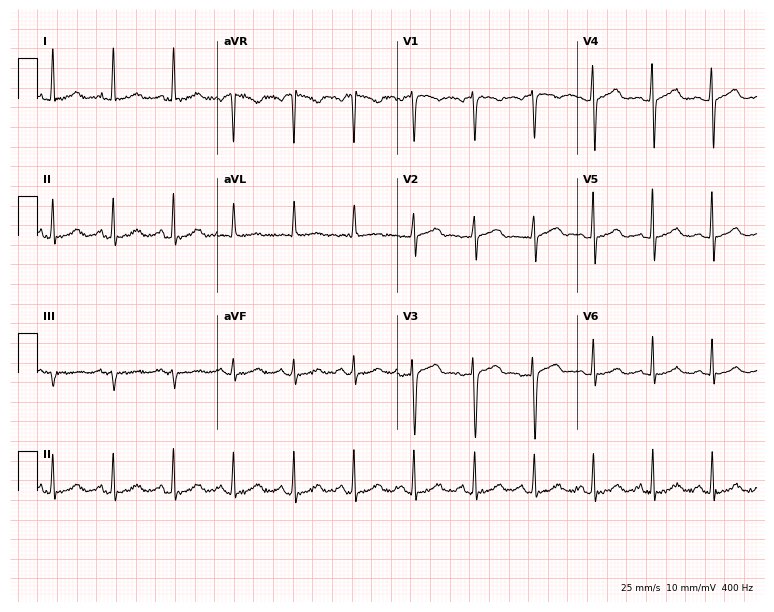
Standard 12-lead ECG recorded from a 43-year-old female. Read as a normal ECG.